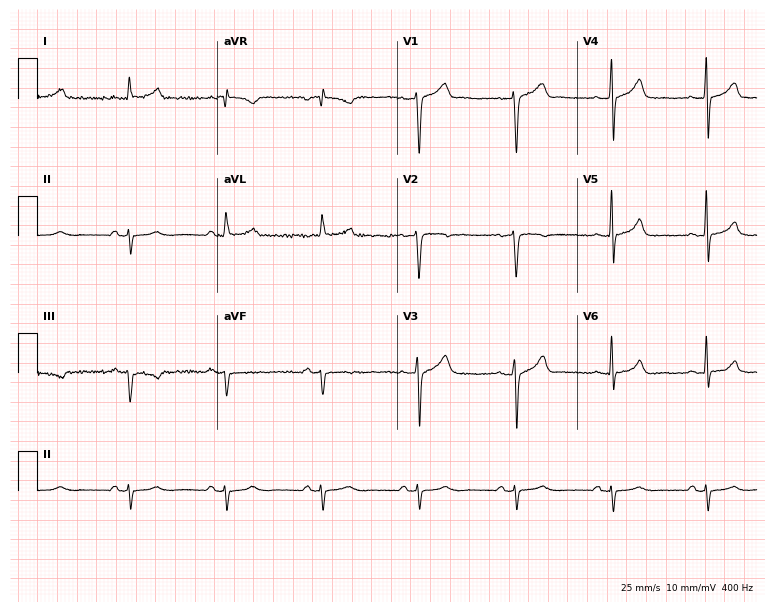
12-lead ECG from a male, 81 years old (7.3-second recording at 400 Hz). No first-degree AV block, right bundle branch block (RBBB), left bundle branch block (LBBB), sinus bradycardia, atrial fibrillation (AF) or sinus tachycardia recorded for this tracing. Only these six findings were labelled.